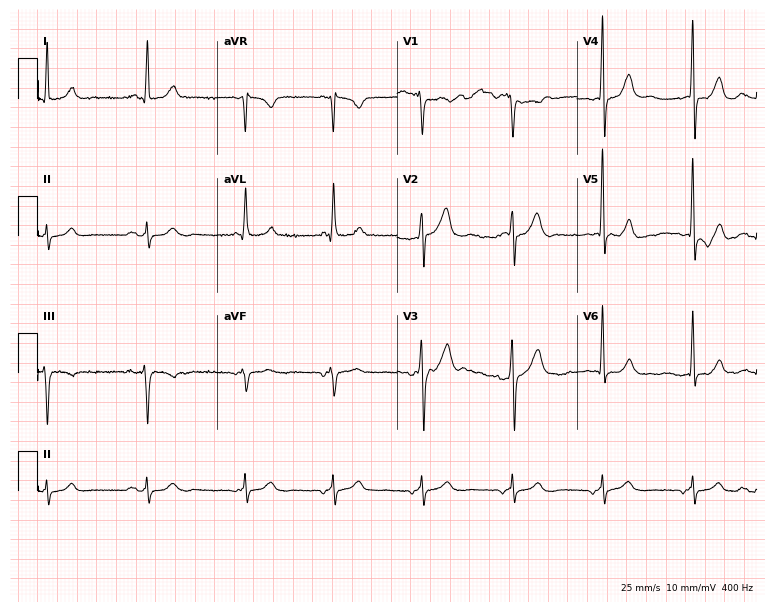
Resting 12-lead electrocardiogram. Patient: an 83-year-old male. None of these six findings is recorded: first-degree AV block, right bundle branch block (RBBB), left bundle branch block (LBBB), sinus bradycardia, atrial fibrillation (AF), sinus tachycardia.